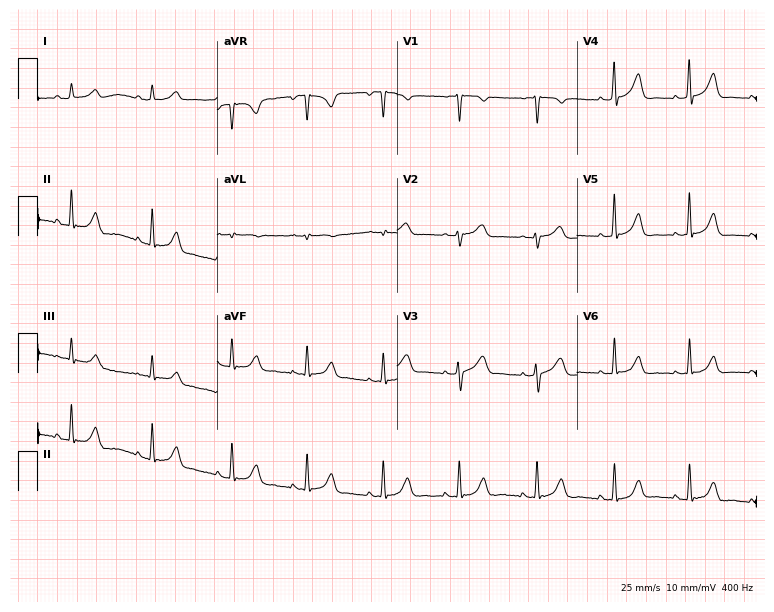
Standard 12-lead ECG recorded from a female patient, 35 years old (7.3-second recording at 400 Hz). None of these six findings is recorded: first-degree AV block, right bundle branch block (RBBB), left bundle branch block (LBBB), sinus bradycardia, atrial fibrillation (AF), sinus tachycardia. Other findings, if any, are not listed.